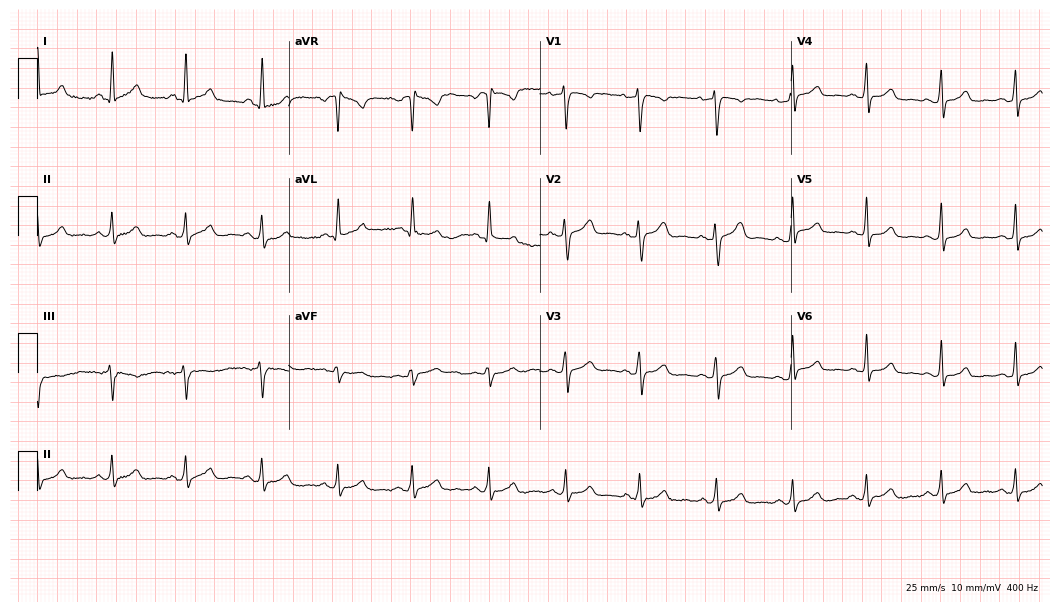
12-lead ECG (10.2-second recording at 400 Hz) from a 31-year-old female. Labelled as a normal ECG.